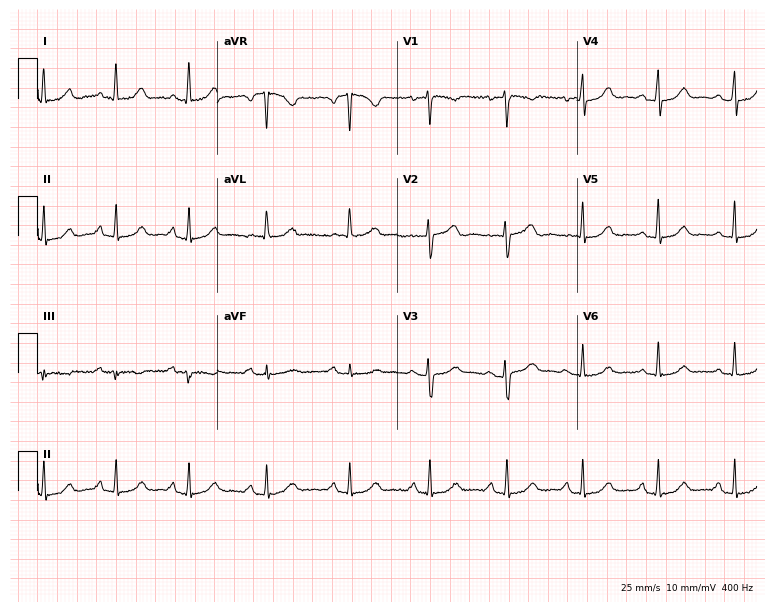
ECG (7.3-second recording at 400 Hz) — a woman, 49 years old. Labelled as a normal ECG.